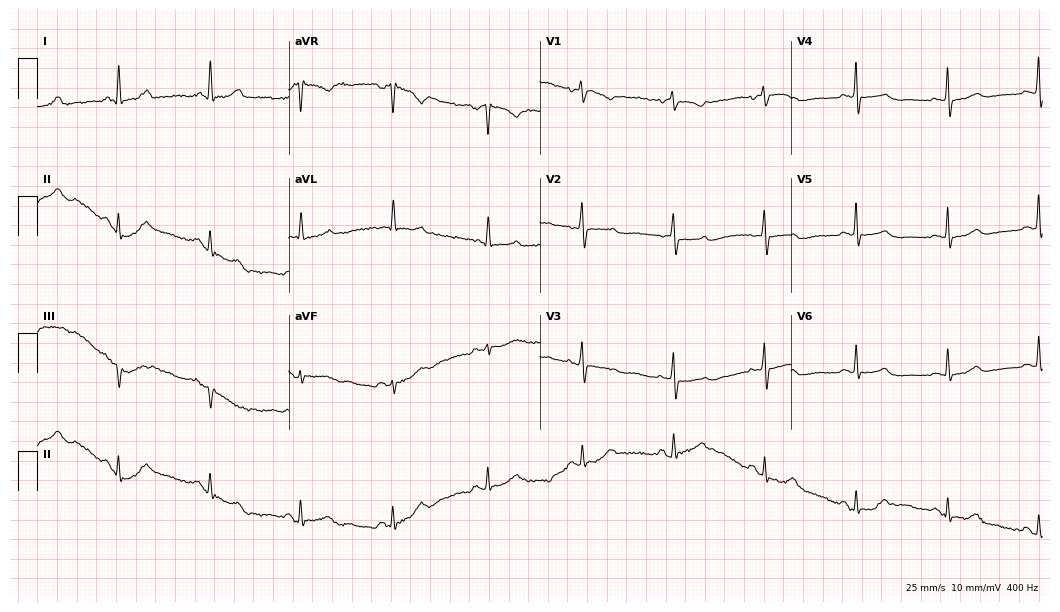
ECG — a woman, 74 years old. Screened for six findings — first-degree AV block, right bundle branch block (RBBB), left bundle branch block (LBBB), sinus bradycardia, atrial fibrillation (AF), sinus tachycardia — none is recorded. Findings outside these six are not listed.